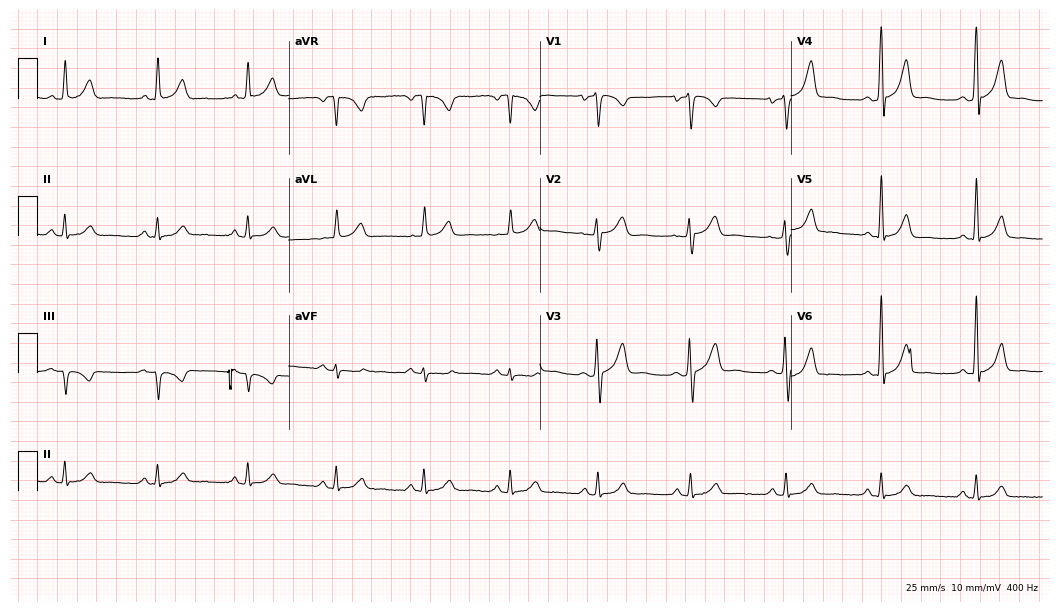
Standard 12-lead ECG recorded from a 59-year-old male patient (10.2-second recording at 400 Hz). None of these six findings is recorded: first-degree AV block, right bundle branch block (RBBB), left bundle branch block (LBBB), sinus bradycardia, atrial fibrillation (AF), sinus tachycardia. Other findings, if any, are not listed.